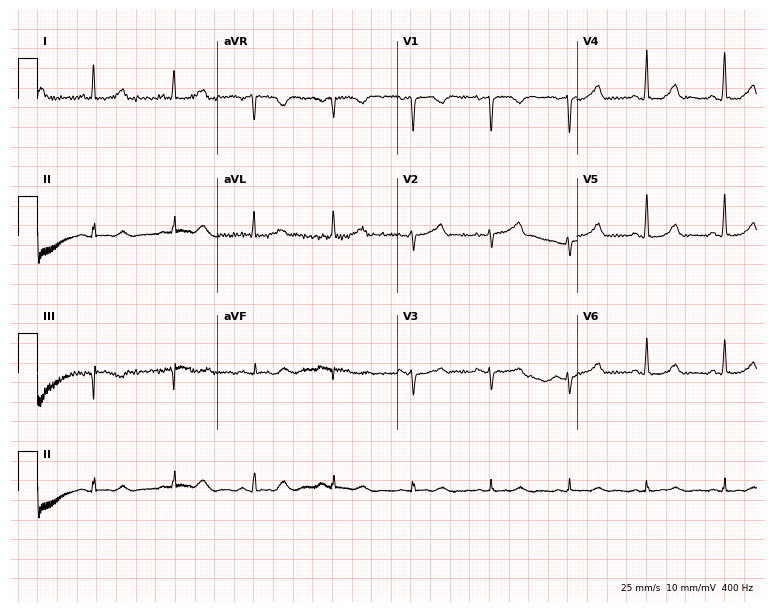
Resting 12-lead electrocardiogram (7.3-second recording at 400 Hz). Patient: a 65-year-old female. Read as a normal ECG.